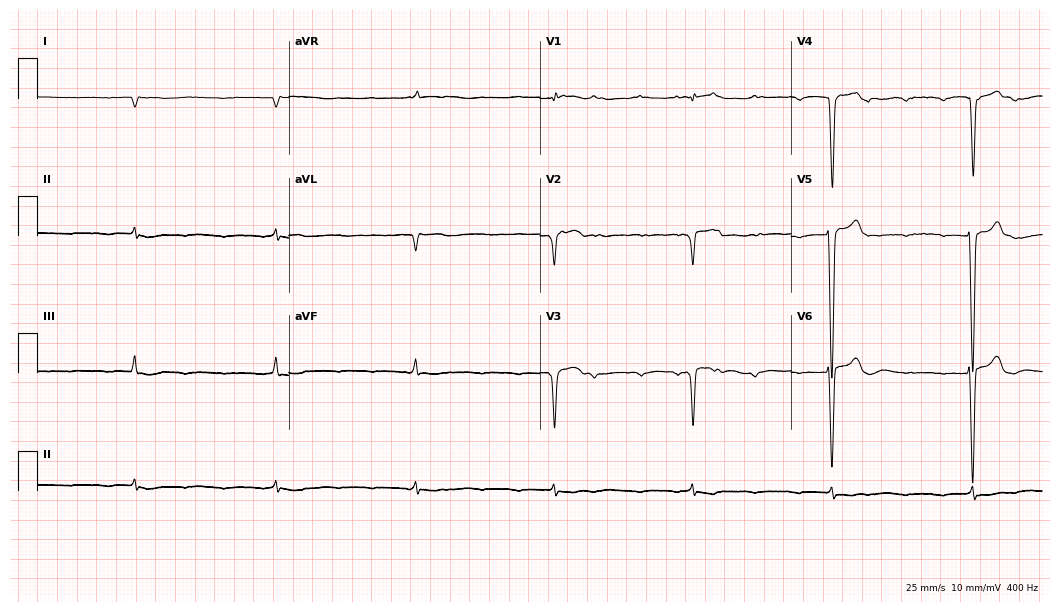
Resting 12-lead electrocardiogram. Patient: a man, 78 years old. None of these six findings is recorded: first-degree AV block, right bundle branch block, left bundle branch block, sinus bradycardia, atrial fibrillation, sinus tachycardia.